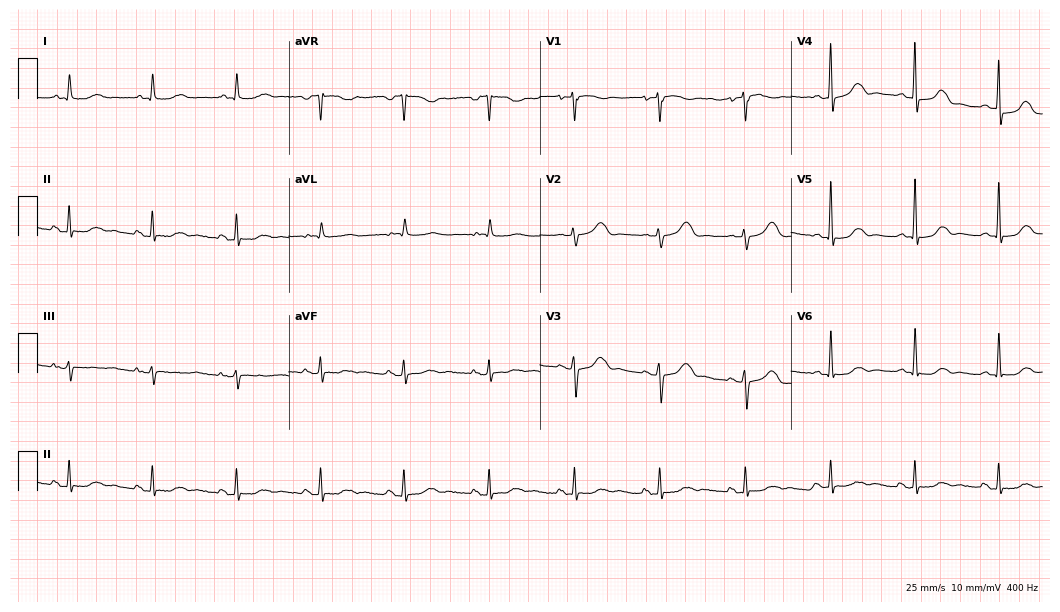
Resting 12-lead electrocardiogram (10.2-second recording at 400 Hz). Patient: a 67-year-old female. None of these six findings is recorded: first-degree AV block, right bundle branch block, left bundle branch block, sinus bradycardia, atrial fibrillation, sinus tachycardia.